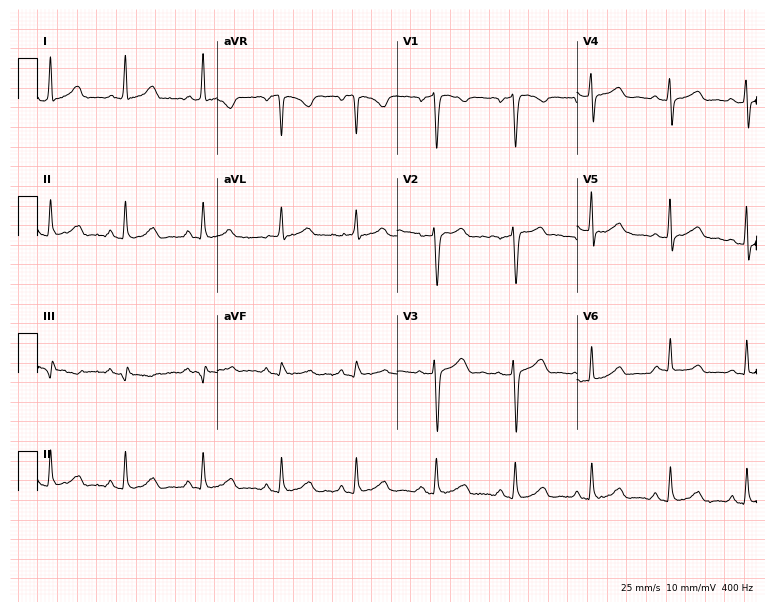
ECG (7.3-second recording at 400 Hz) — a woman, 39 years old. Screened for six findings — first-degree AV block, right bundle branch block, left bundle branch block, sinus bradycardia, atrial fibrillation, sinus tachycardia — none is recorded.